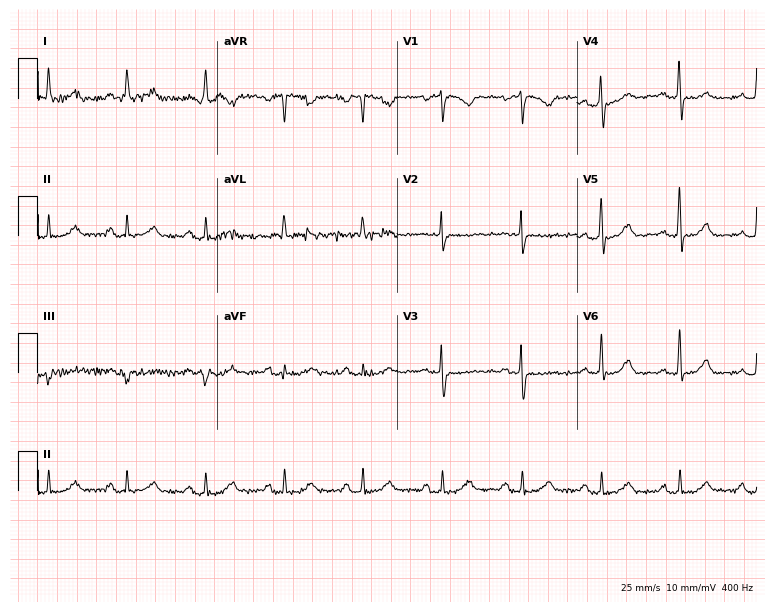
Electrocardiogram (7.3-second recording at 400 Hz), a 74-year-old woman. Of the six screened findings (first-degree AV block, right bundle branch block, left bundle branch block, sinus bradycardia, atrial fibrillation, sinus tachycardia), none is recorded. Only these six findings were labelled.